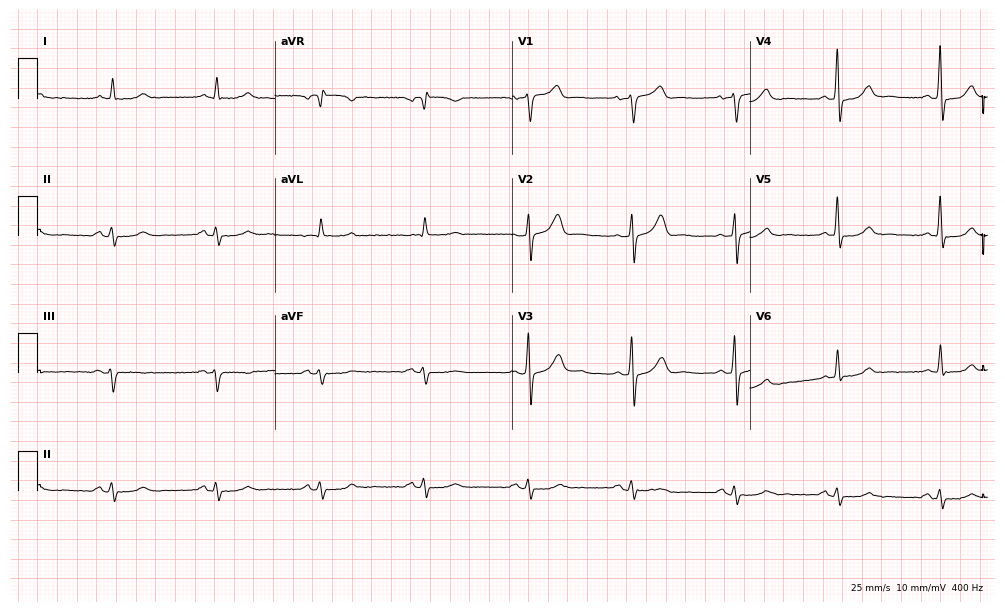
Standard 12-lead ECG recorded from a male patient, 69 years old (9.7-second recording at 400 Hz). None of these six findings is recorded: first-degree AV block, right bundle branch block, left bundle branch block, sinus bradycardia, atrial fibrillation, sinus tachycardia. Other findings, if any, are not listed.